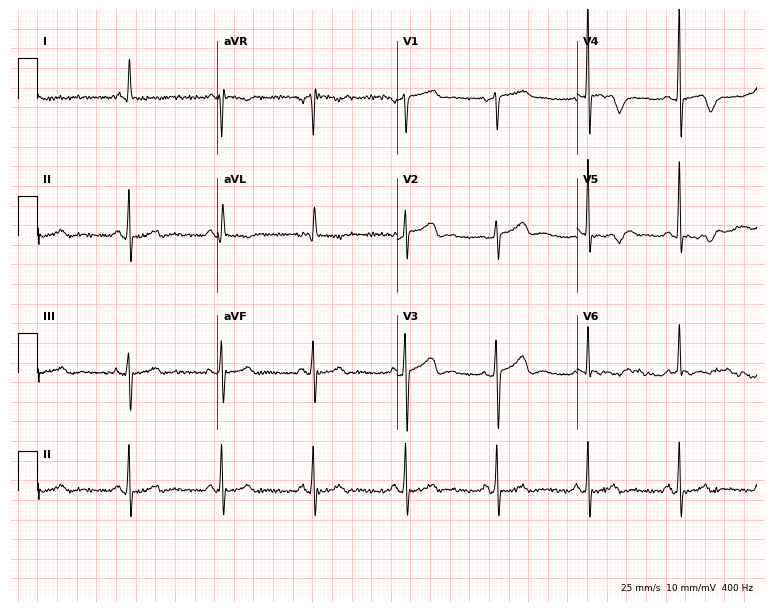
ECG (7.3-second recording at 400 Hz) — a 78-year-old female patient. Screened for six findings — first-degree AV block, right bundle branch block (RBBB), left bundle branch block (LBBB), sinus bradycardia, atrial fibrillation (AF), sinus tachycardia — none is recorded. Other findings, if any, are not listed.